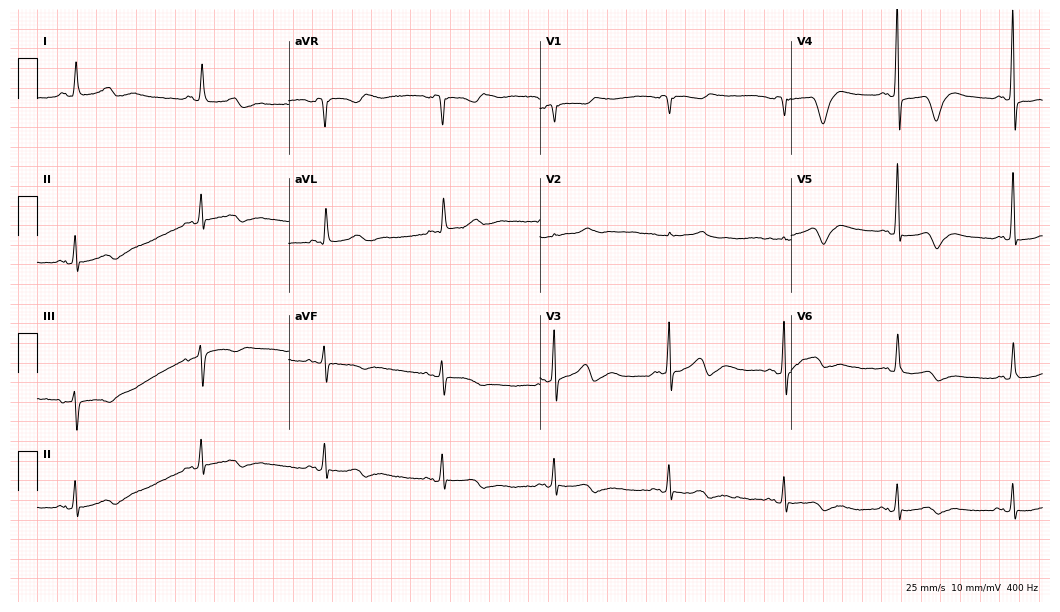
Resting 12-lead electrocardiogram. Patient: a 73-year-old female. None of these six findings is recorded: first-degree AV block, right bundle branch block, left bundle branch block, sinus bradycardia, atrial fibrillation, sinus tachycardia.